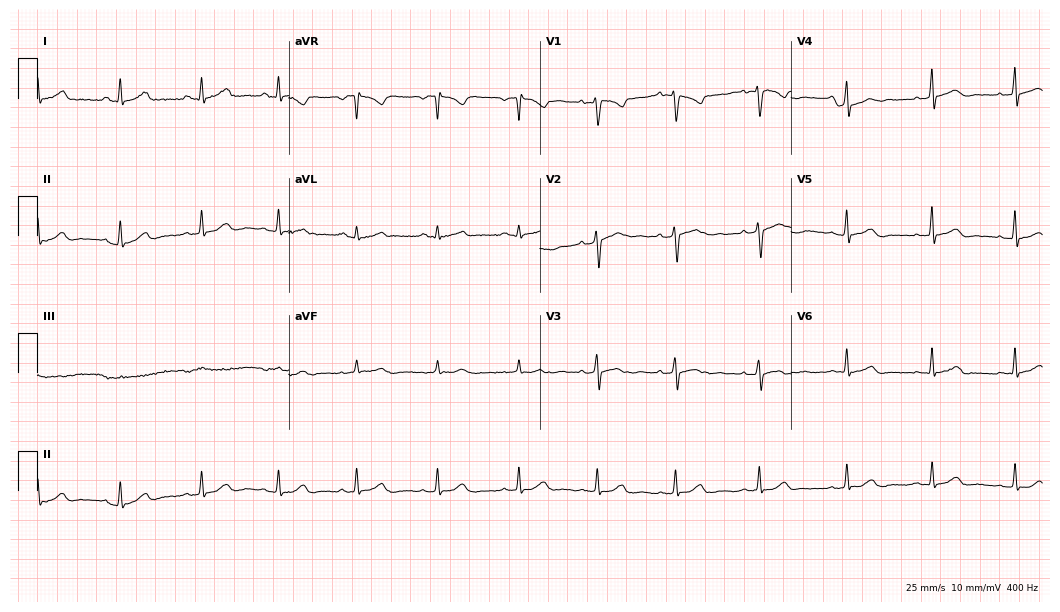
12-lead ECG (10.2-second recording at 400 Hz) from a woman, 22 years old. Labelled as a normal ECG.